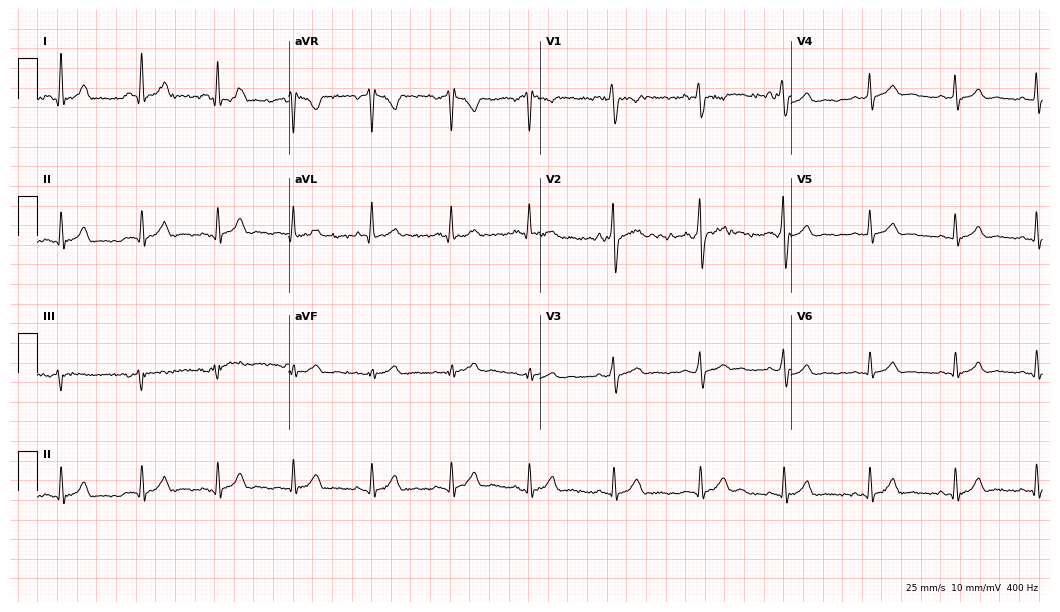
Resting 12-lead electrocardiogram. Patient: a male, 23 years old. Read as a normal ECG.